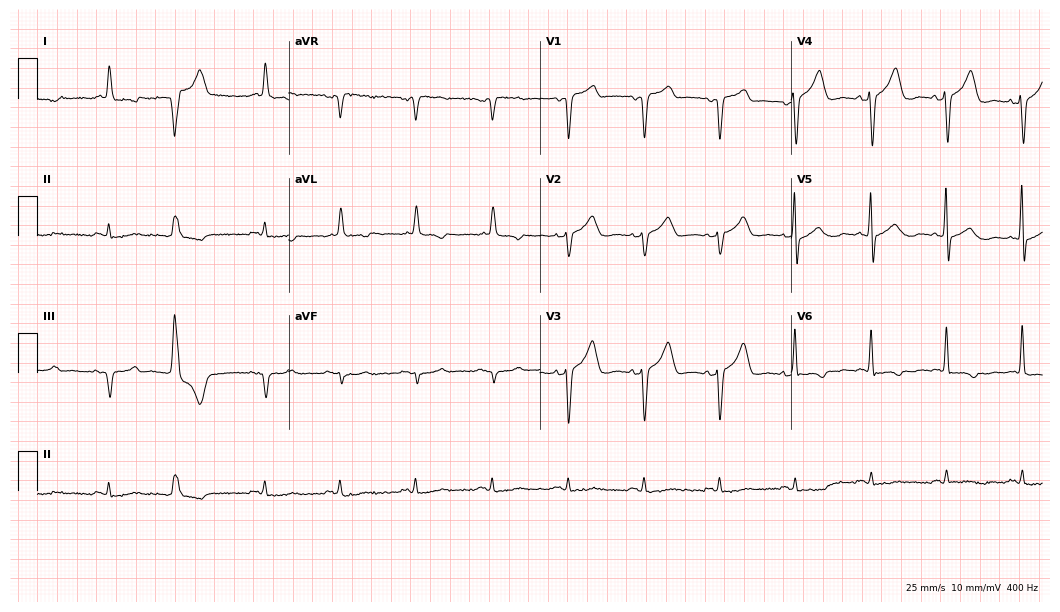
ECG (10.2-second recording at 400 Hz) — a male, 72 years old. Screened for six findings — first-degree AV block, right bundle branch block, left bundle branch block, sinus bradycardia, atrial fibrillation, sinus tachycardia — none is recorded. Other findings, if any, are not listed.